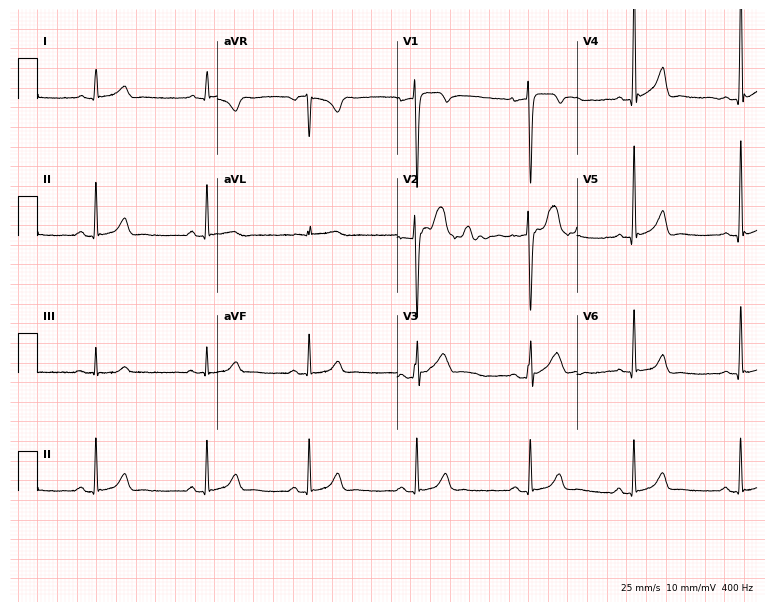
Resting 12-lead electrocardiogram (7.3-second recording at 400 Hz). Patient: a male, 23 years old. Read as a normal ECG.